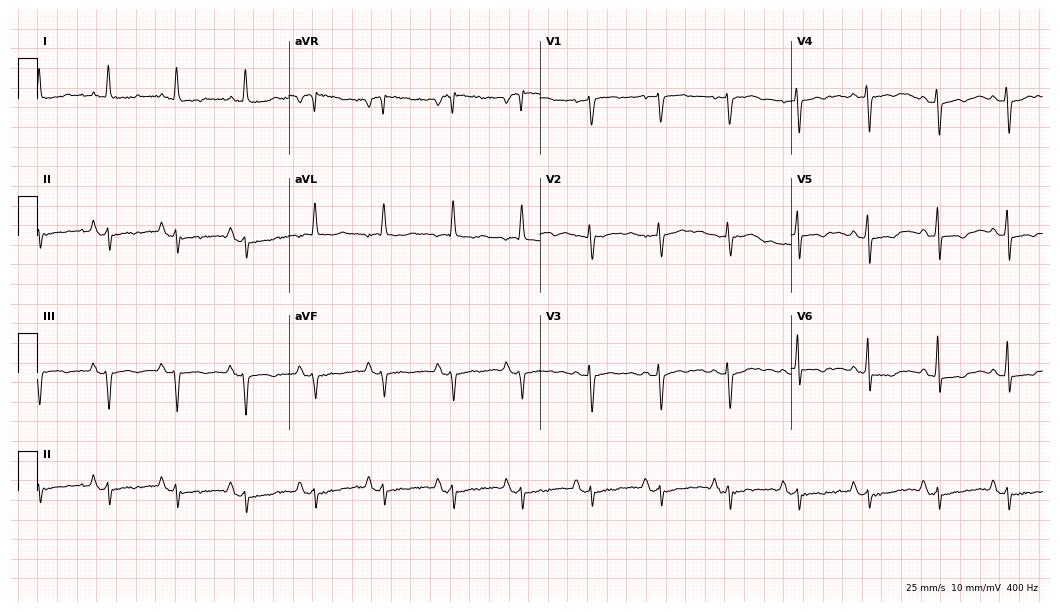
Resting 12-lead electrocardiogram (10.2-second recording at 400 Hz). Patient: an 80-year-old woman. None of these six findings is recorded: first-degree AV block, right bundle branch block (RBBB), left bundle branch block (LBBB), sinus bradycardia, atrial fibrillation (AF), sinus tachycardia.